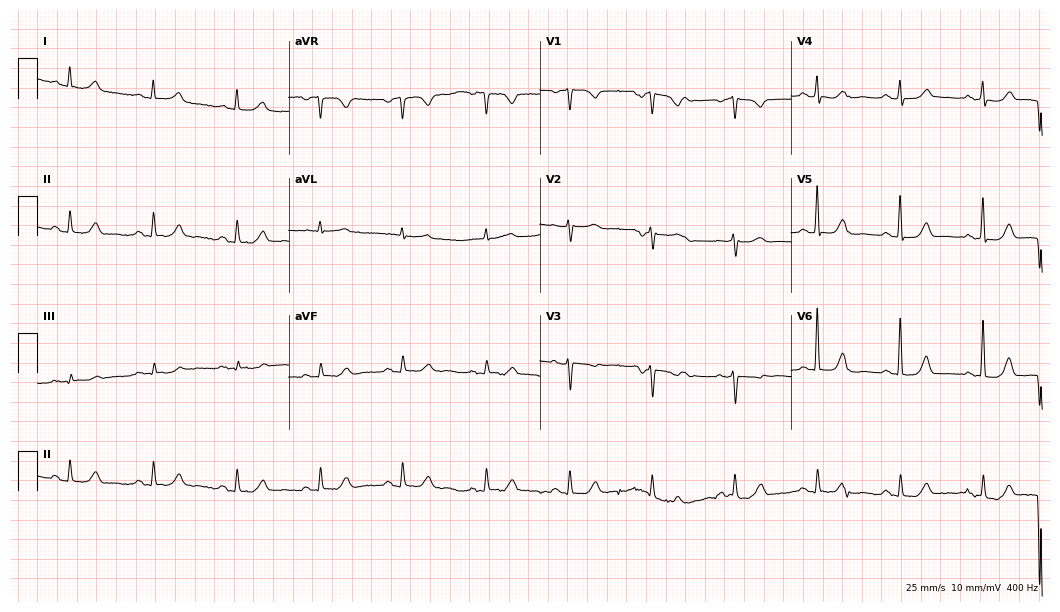
Resting 12-lead electrocardiogram. Patient: a 78-year-old female. Read as a normal ECG.